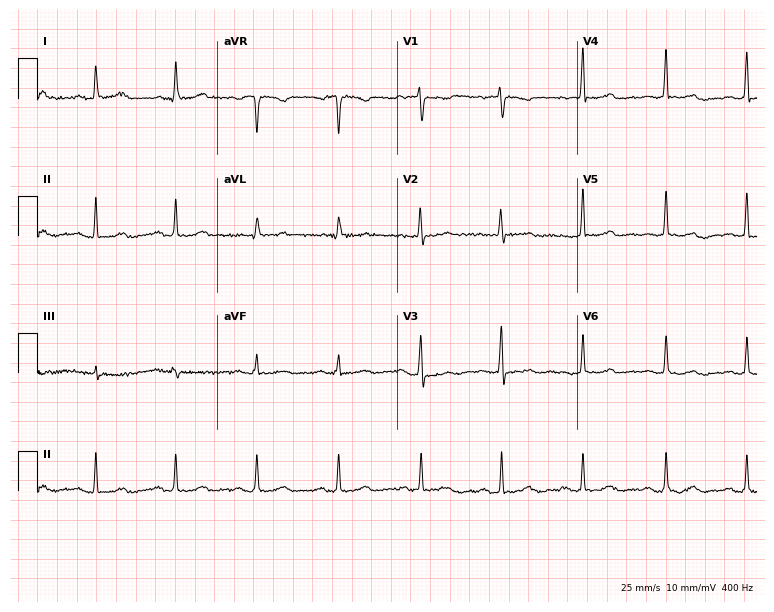
12-lead ECG from a female, 54 years old (7.3-second recording at 400 Hz). No first-degree AV block, right bundle branch block (RBBB), left bundle branch block (LBBB), sinus bradycardia, atrial fibrillation (AF) or sinus tachycardia recorded for this tracing.